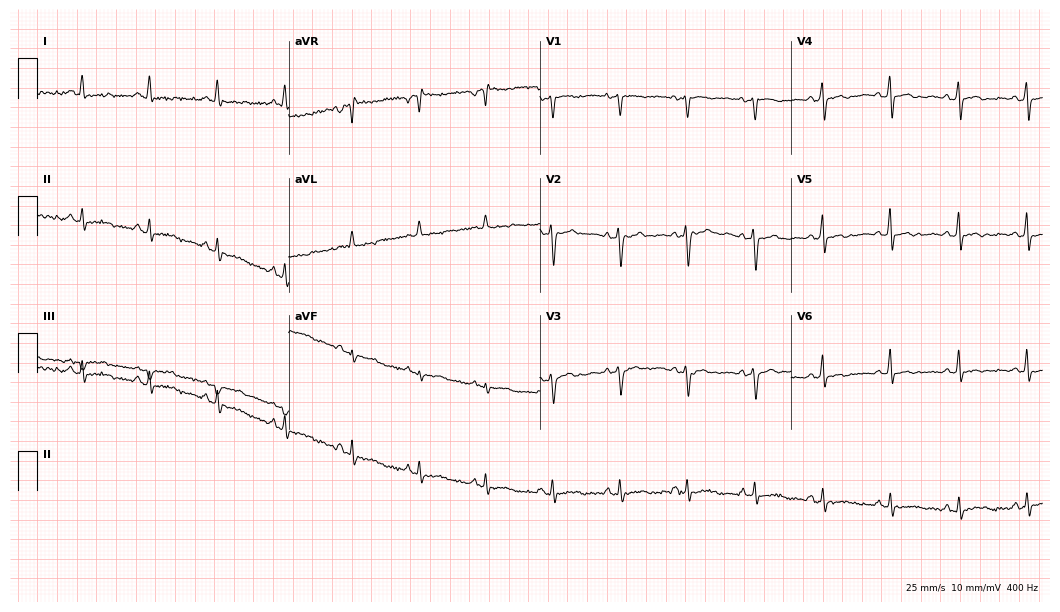
12-lead ECG from a female patient, 45 years old (10.2-second recording at 400 Hz). No first-degree AV block, right bundle branch block, left bundle branch block, sinus bradycardia, atrial fibrillation or sinus tachycardia recorded for this tracing.